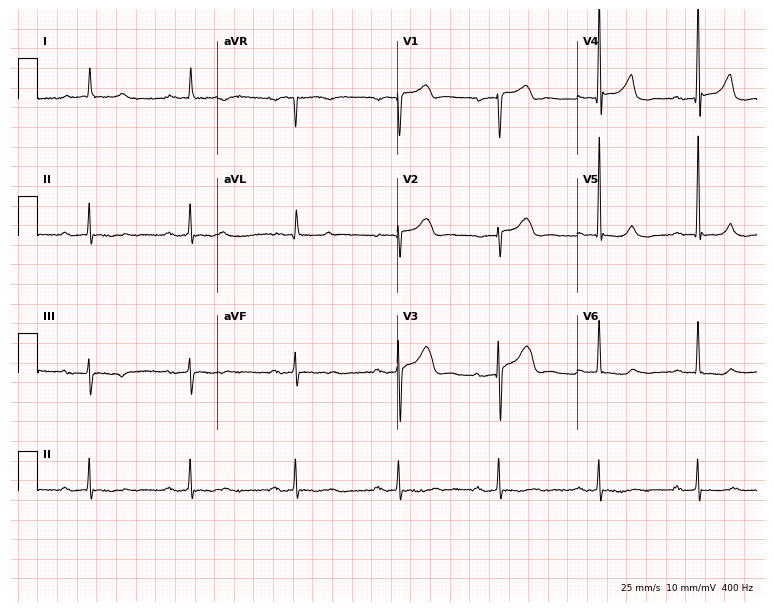
12-lead ECG from an 84-year-old man. Screened for six findings — first-degree AV block, right bundle branch block (RBBB), left bundle branch block (LBBB), sinus bradycardia, atrial fibrillation (AF), sinus tachycardia — none is recorded.